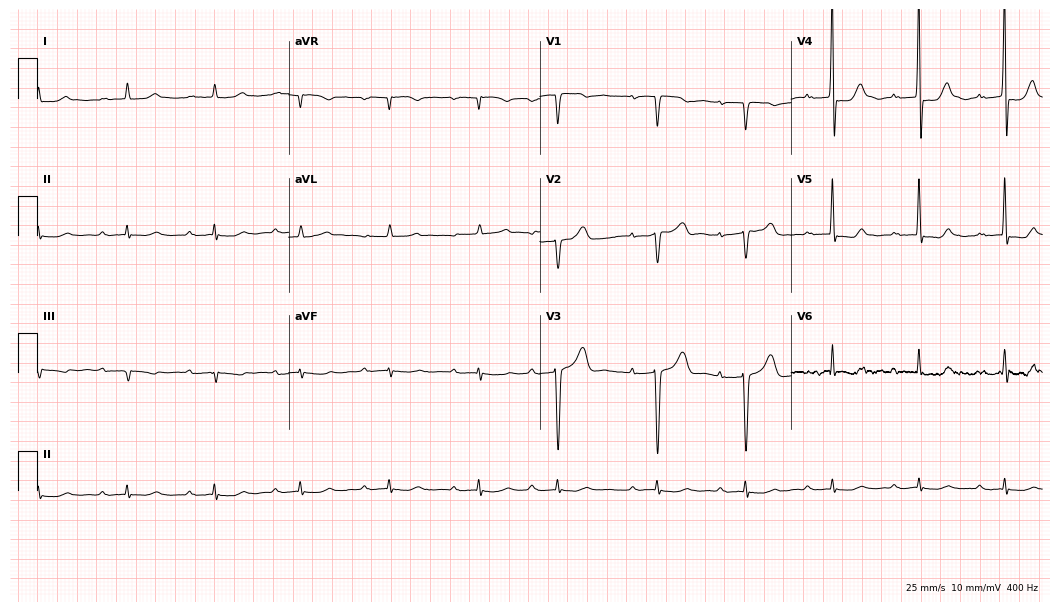
Standard 12-lead ECG recorded from a male patient, 82 years old. The tracing shows first-degree AV block.